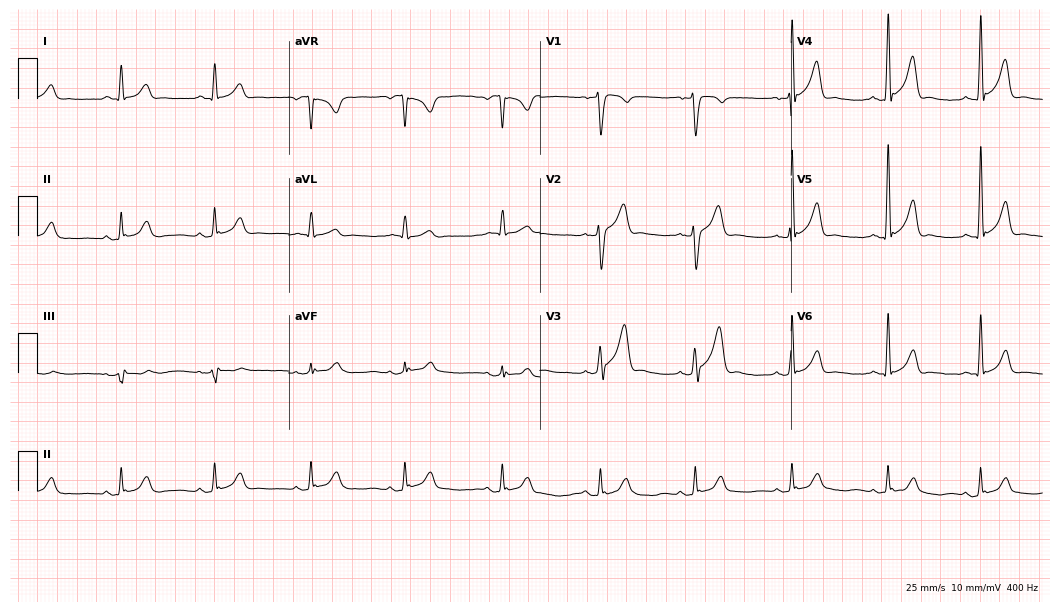
12-lead ECG from a male, 28 years old (10.2-second recording at 400 Hz). Recorded interpretation: within normal limits.